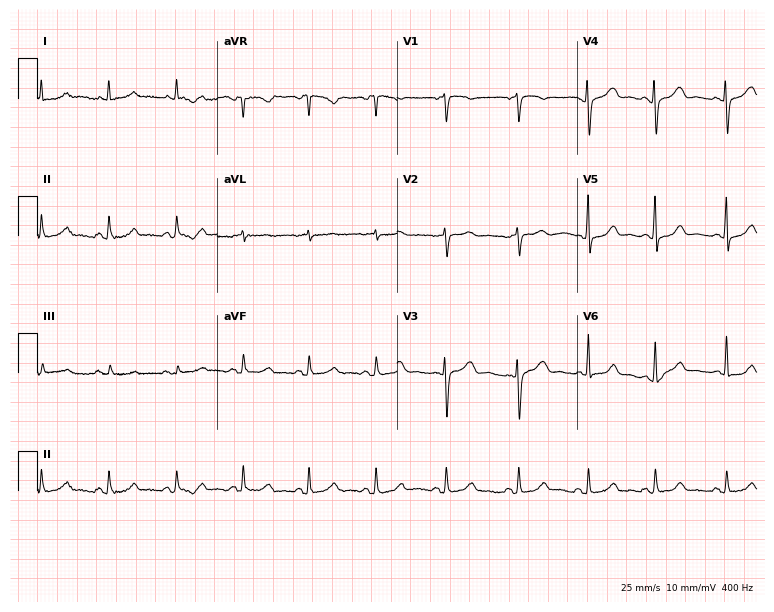
Electrocardiogram (7.3-second recording at 400 Hz), a female, 60 years old. Overall reading on record: normal ECG.